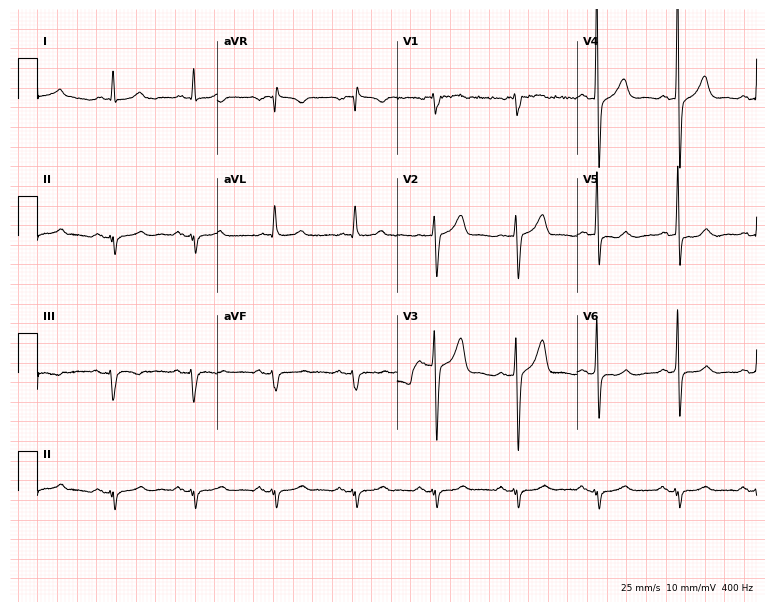
12-lead ECG (7.3-second recording at 400 Hz) from a male, 66 years old. Screened for six findings — first-degree AV block, right bundle branch block, left bundle branch block, sinus bradycardia, atrial fibrillation, sinus tachycardia — none is recorded.